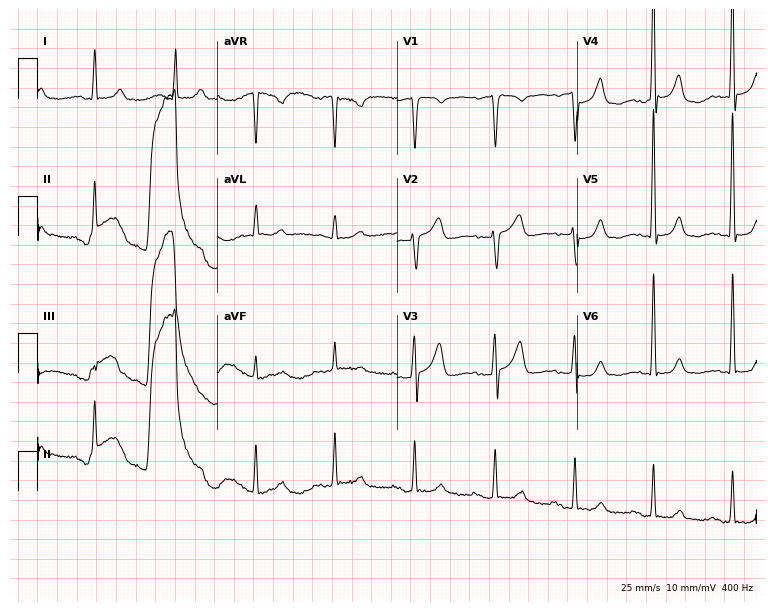
Electrocardiogram, a male, 74 years old. Of the six screened findings (first-degree AV block, right bundle branch block, left bundle branch block, sinus bradycardia, atrial fibrillation, sinus tachycardia), none is recorded.